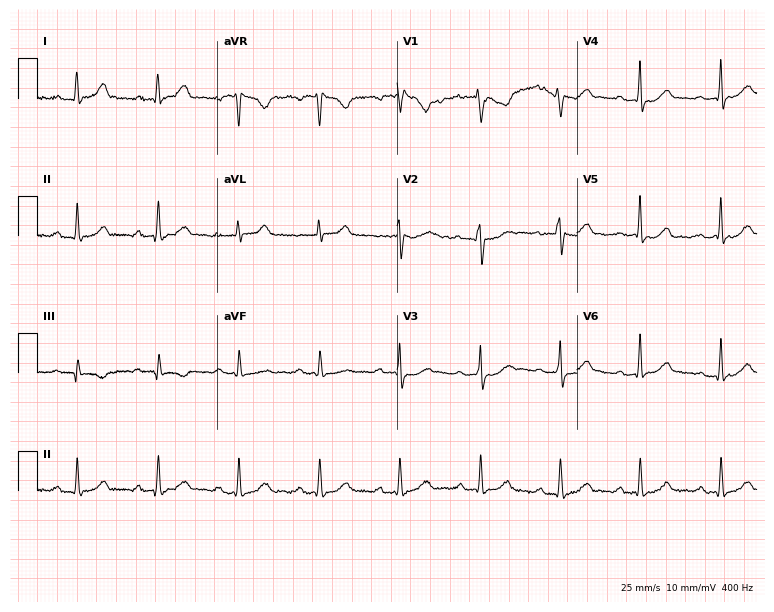
ECG — a 43-year-old woman. Labelled as a normal ECG.